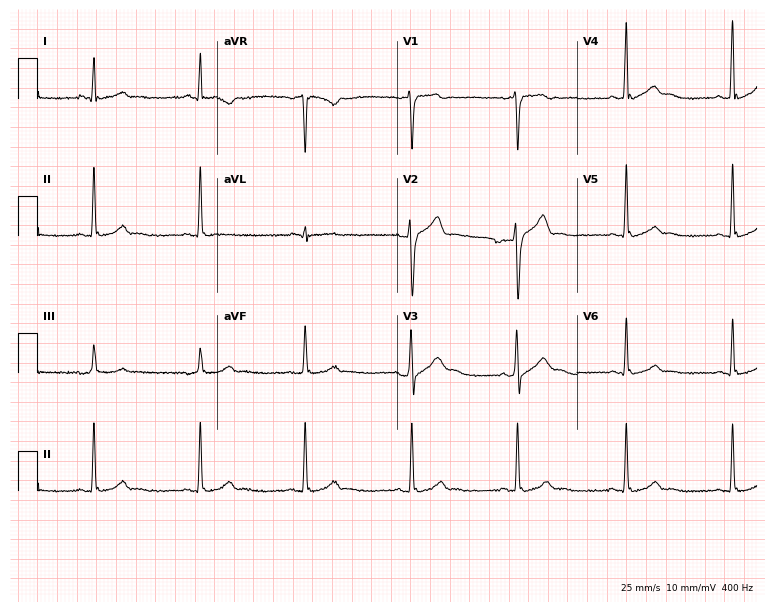
12-lead ECG from a 34-year-old male (7.3-second recording at 400 Hz). No first-degree AV block, right bundle branch block, left bundle branch block, sinus bradycardia, atrial fibrillation or sinus tachycardia recorded for this tracing. Other findings, if any, are not listed.